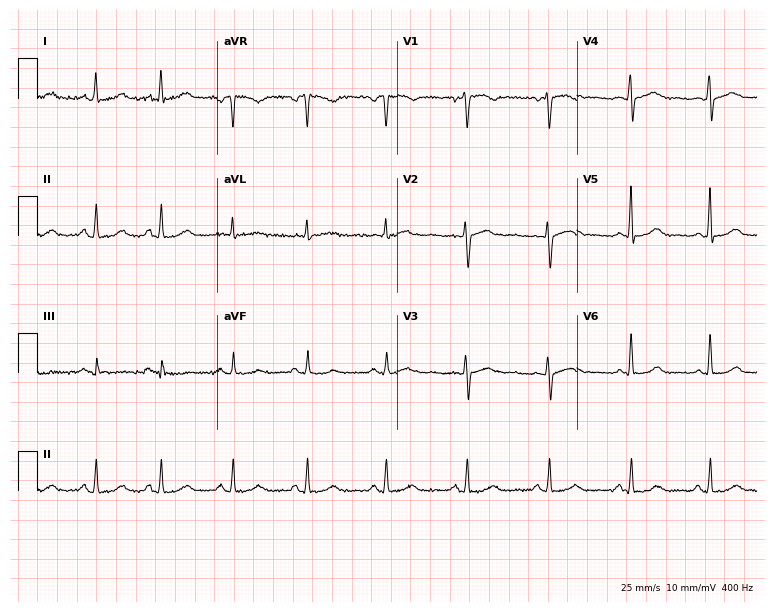
ECG — a 41-year-old female patient. Screened for six findings — first-degree AV block, right bundle branch block, left bundle branch block, sinus bradycardia, atrial fibrillation, sinus tachycardia — none is recorded. Findings outside these six are not listed.